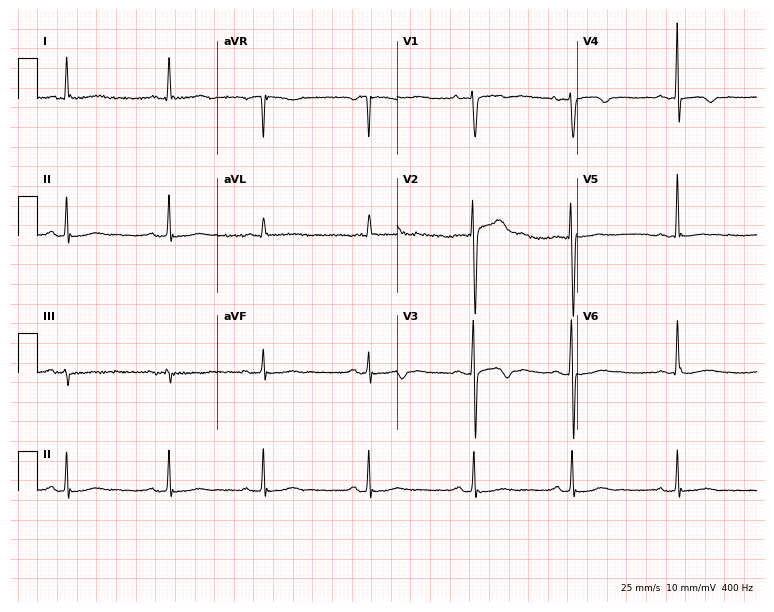
Electrocardiogram (7.3-second recording at 400 Hz), a woman, 85 years old. Of the six screened findings (first-degree AV block, right bundle branch block, left bundle branch block, sinus bradycardia, atrial fibrillation, sinus tachycardia), none is recorded.